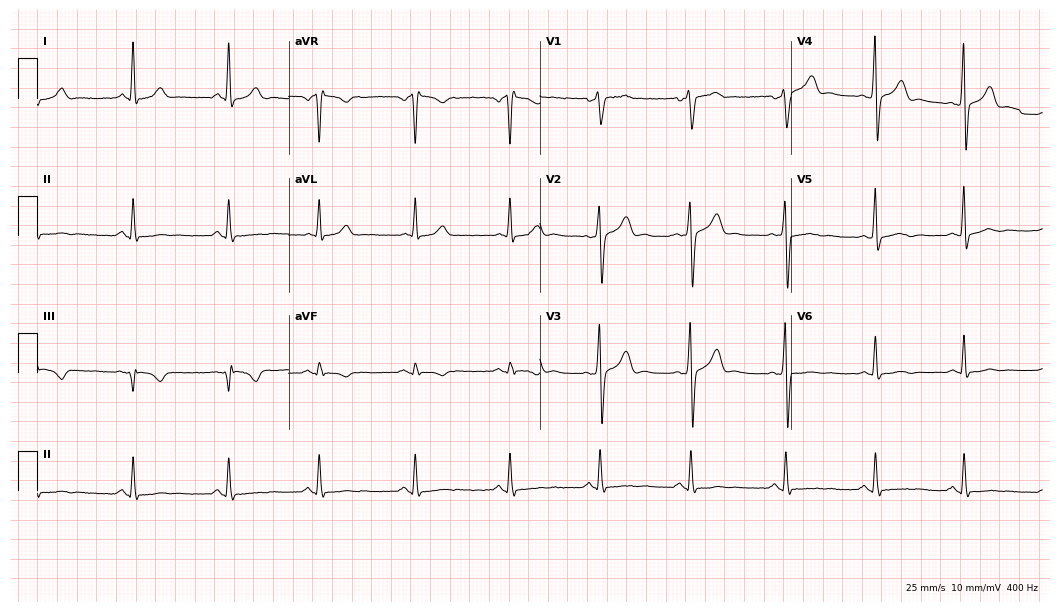
12-lead ECG from a 53-year-old female patient. No first-degree AV block, right bundle branch block, left bundle branch block, sinus bradycardia, atrial fibrillation or sinus tachycardia recorded for this tracing. Only these six findings were labelled.